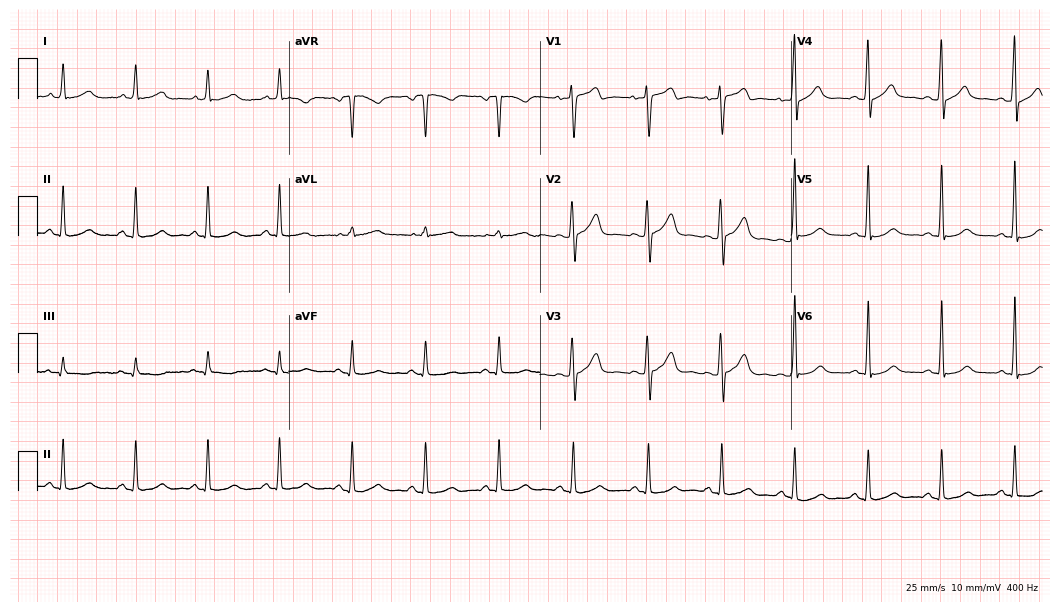
Standard 12-lead ECG recorded from a male, 50 years old. Read as a normal ECG.